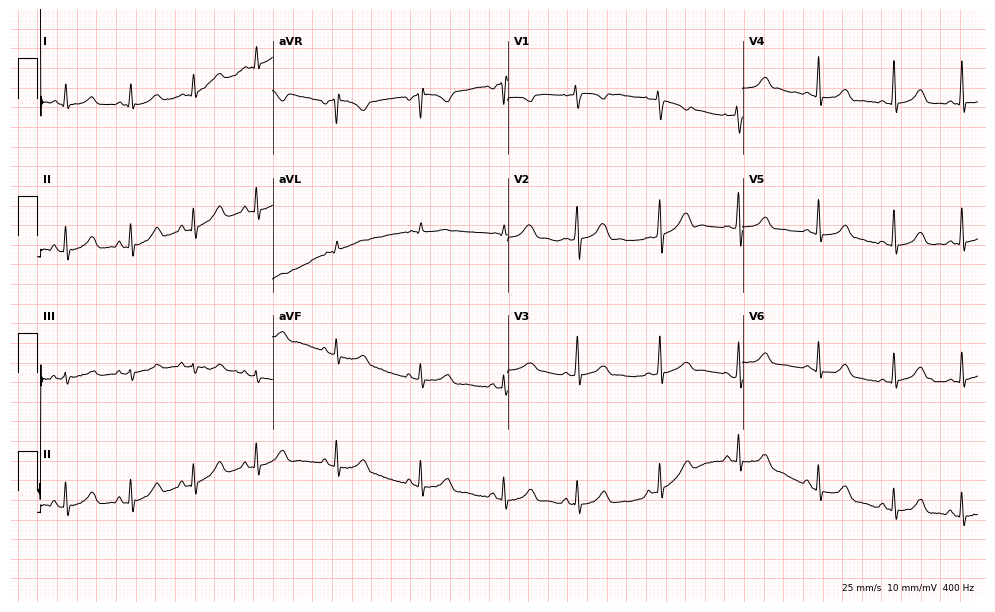
Electrocardiogram, a 20-year-old female patient. Overall reading on record: normal ECG.